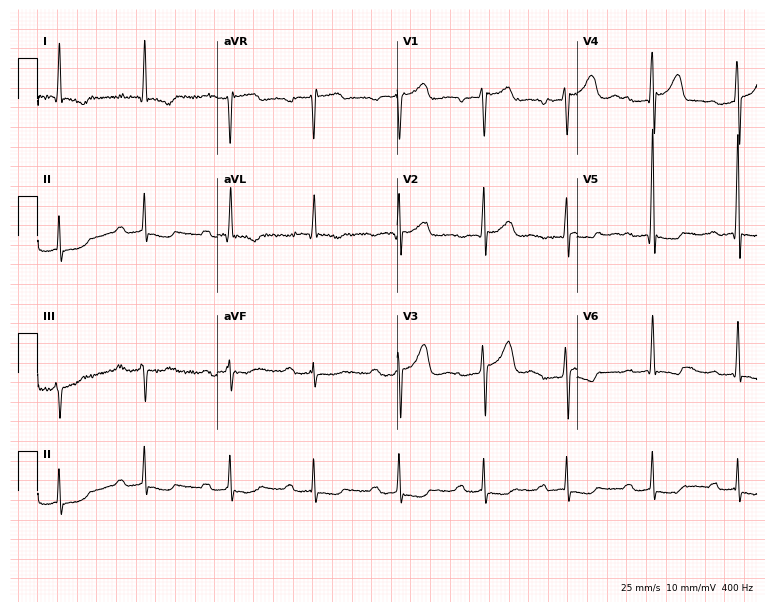
12-lead ECG from a male, 50 years old (7.3-second recording at 400 Hz). No first-degree AV block, right bundle branch block, left bundle branch block, sinus bradycardia, atrial fibrillation or sinus tachycardia recorded for this tracing. Only these six findings were labelled.